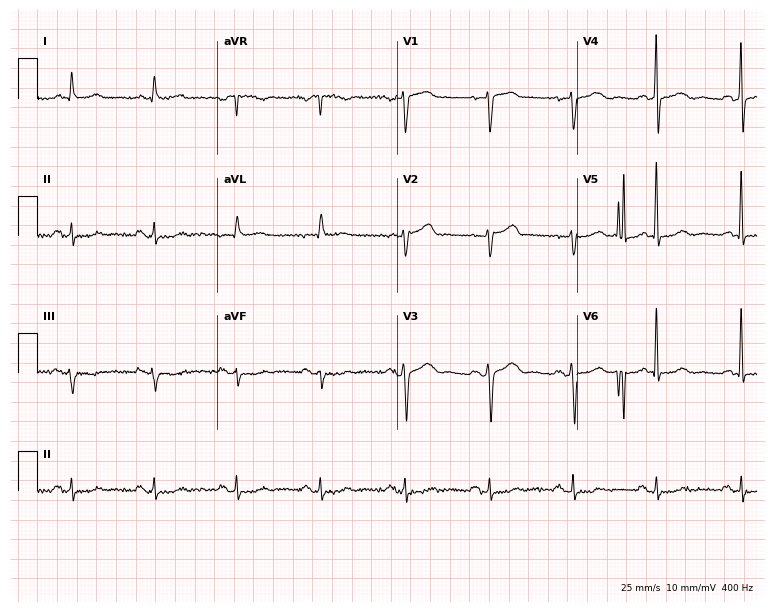
Resting 12-lead electrocardiogram (7.3-second recording at 400 Hz). Patient: a 75-year-old female. None of these six findings is recorded: first-degree AV block, right bundle branch block, left bundle branch block, sinus bradycardia, atrial fibrillation, sinus tachycardia.